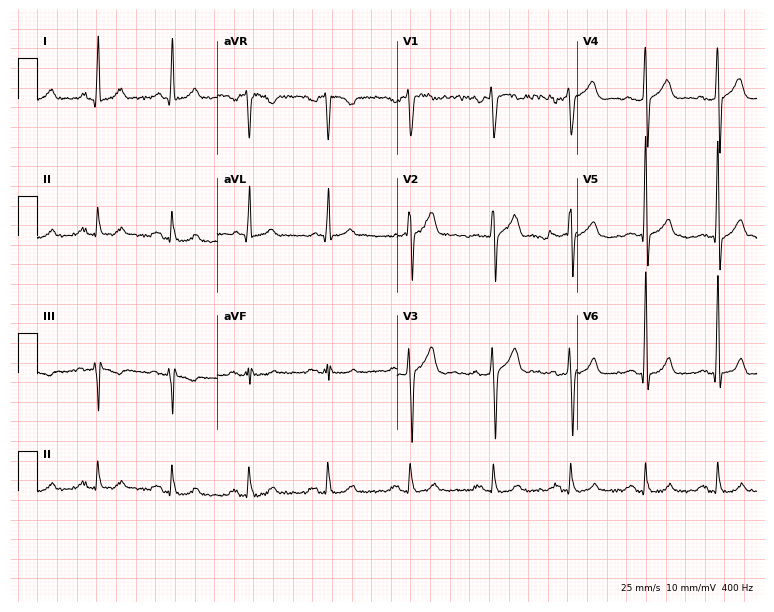
Resting 12-lead electrocardiogram (7.3-second recording at 400 Hz). Patient: a 41-year-old male. None of these six findings is recorded: first-degree AV block, right bundle branch block (RBBB), left bundle branch block (LBBB), sinus bradycardia, atrial fibrillation (AF), sinus tachycardia. Findings outside these six are not listed.